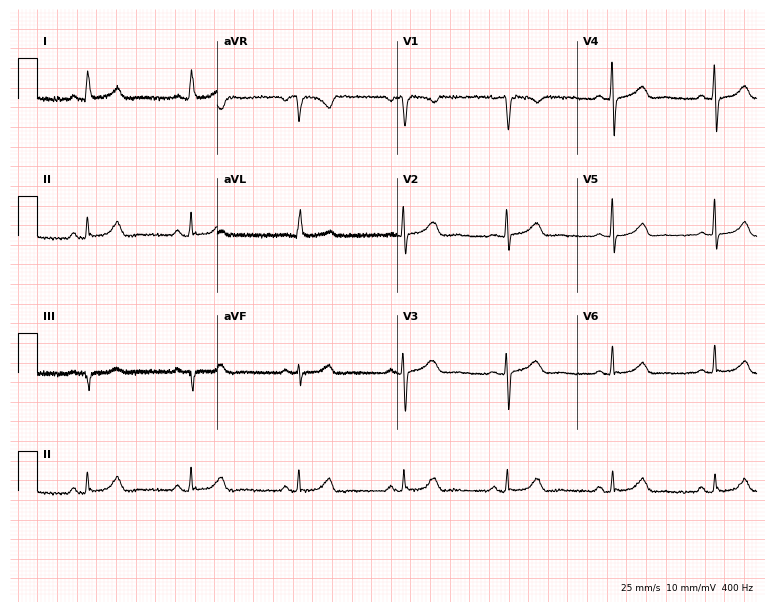
12-lead ECG from a woman, 67 years old (7.3-second recording at 400 Hz). Recorded interpretation: within normal limits.